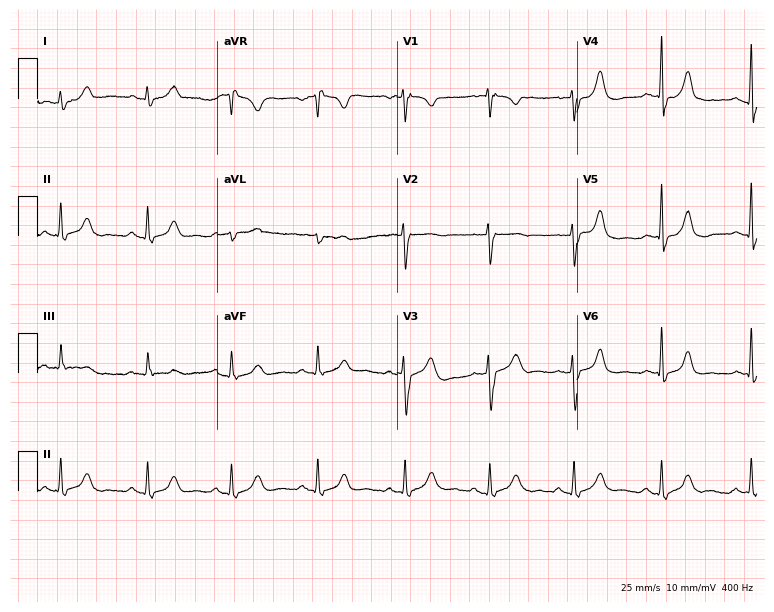
ECG — a woman, 37 years old. Labelled as a normal ECG.